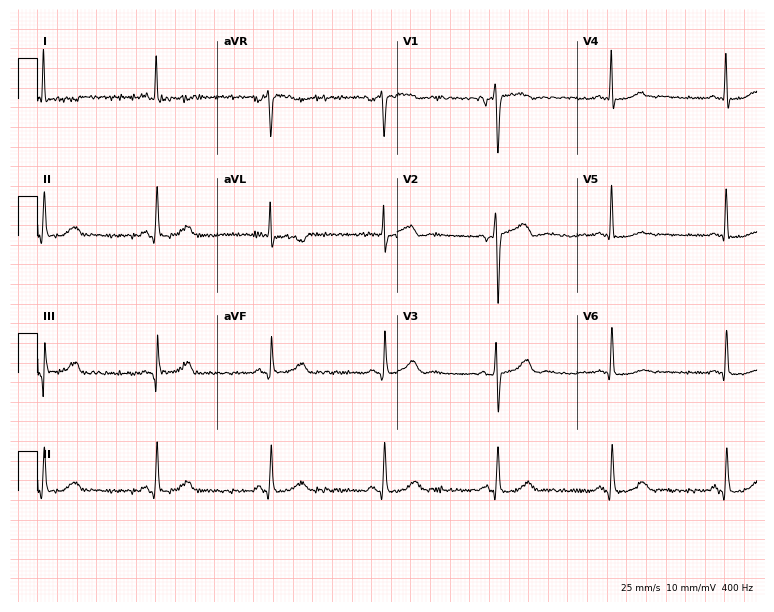
12-lead ECG from a 56-year-old woman (7.3-second recording at 400 Hz). No first-degree AV block, right bundle branch block, left bundle branch block, sinus bradycardia, atrial fibrillation or sinus tachycardia recorded for this tracing. Findings outside these six are not listed.